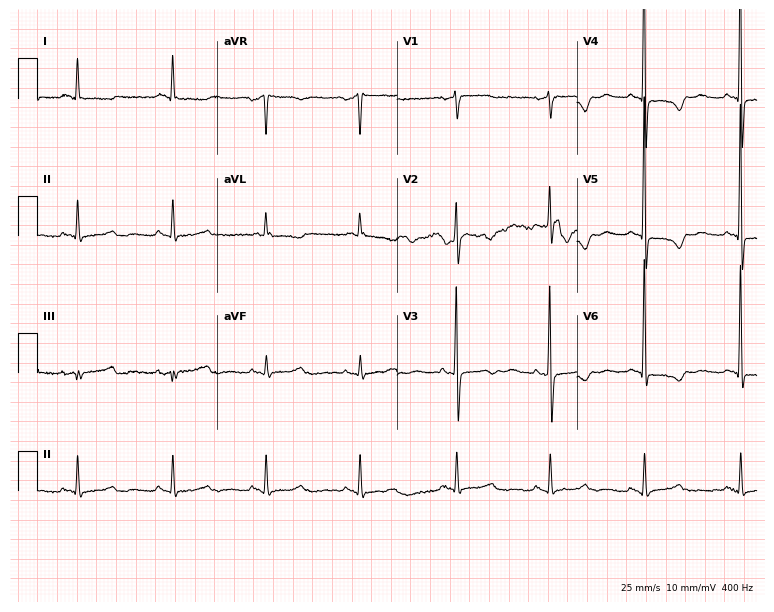
Electrocardiogram, a woman, 78 years old. Of the six screened findings (first-degree AV block, right bundle branch block, left bundle branch block, sinus bradycardia, atrial fibrillation, sinus tachycardia), none is recorded. Only these six findings were labelled.